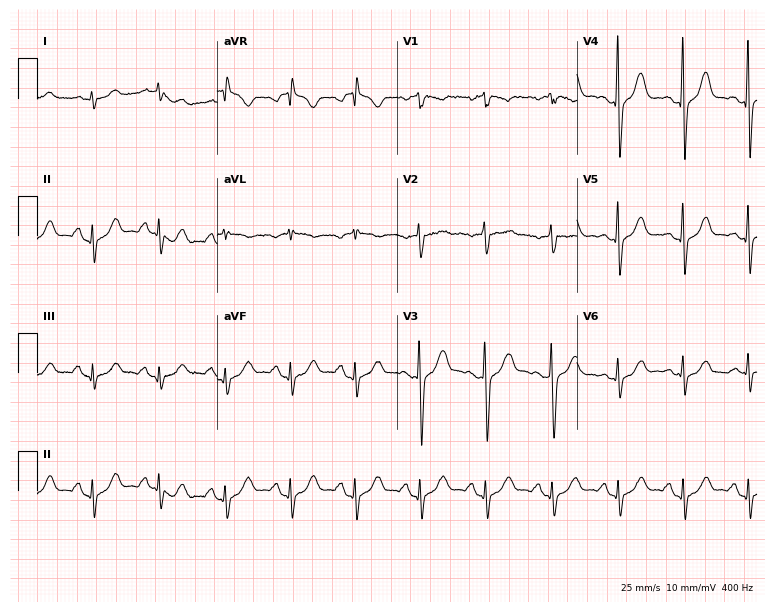
12-lead ECG from a male patient, 68 years old (7.3-second recording at 400 Hz). Recorded interpretation: within normal limits.